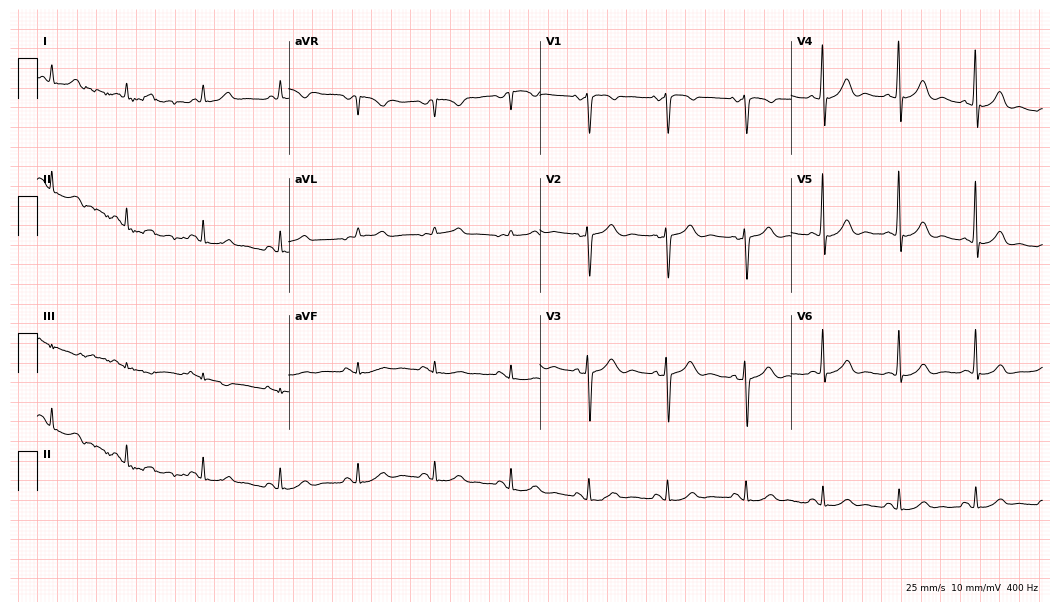
12-lead ECG (10.2-second recording at 400 Hz) from a woman, 45 years old. Labelled as a normal ECG.